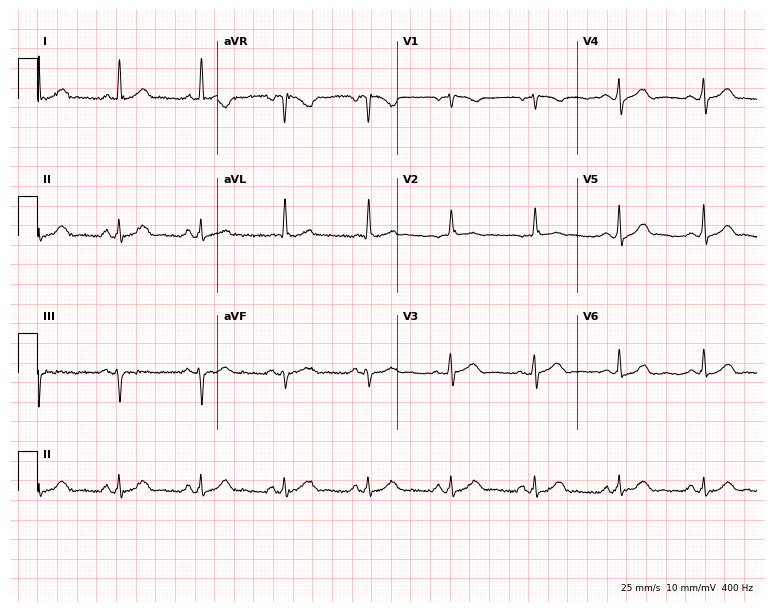
Standard 12-lead ECG recorded from a 70-year-old man (7.3-second recording at 400 Hz). Read as a normal ECG.